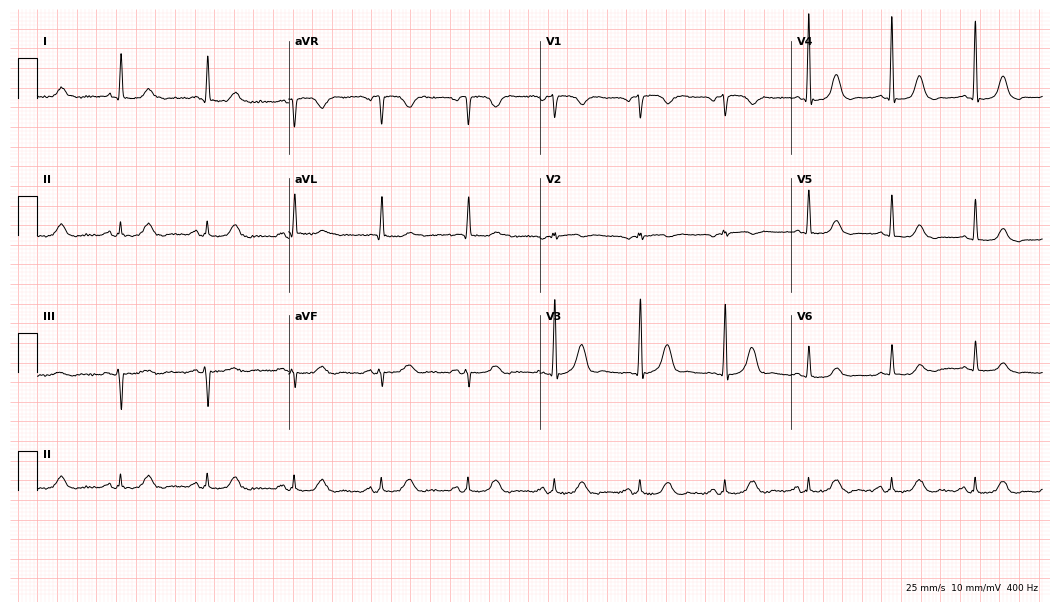
Standard 12-lead ECG recorded from a female, 81 years old (10.2-second recording at 400 Hz). Read as a normal ECG.